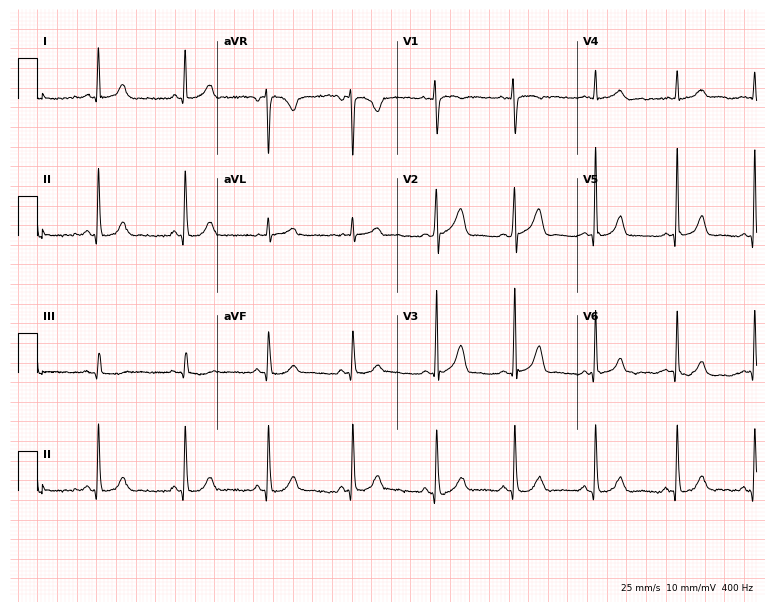
12-lead ECG from a 34-year-old female (7.3-second recording at 400 Hz). Recorded interpretation: within normal limits.